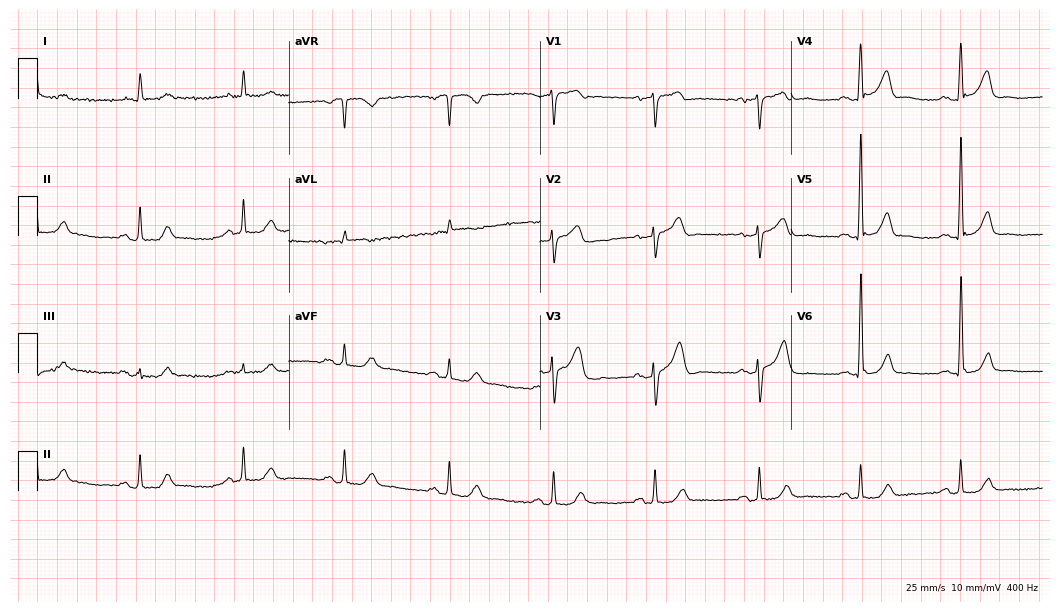
Electrocardiogram (10.2-second recording at 400 Hz), a male patient, 78 years old. Overall reading on record: normal ECG.